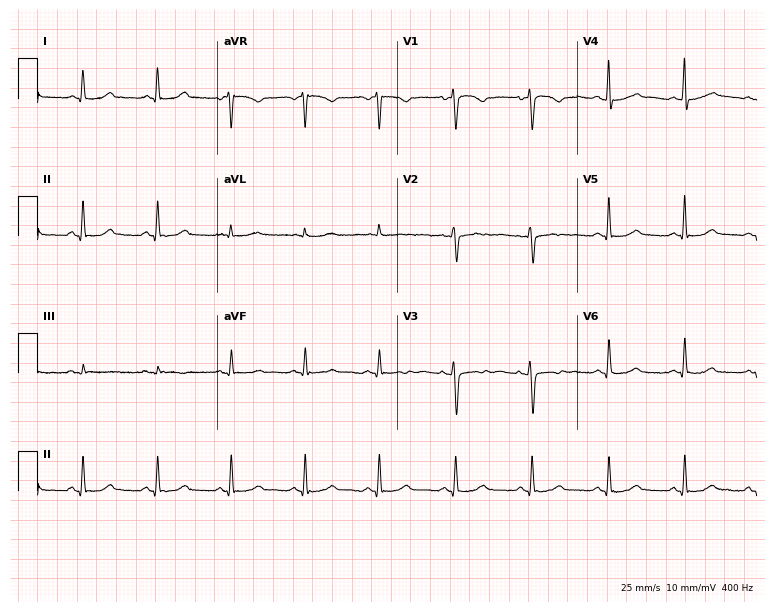
Resting 12-lead electrocardiogram (7.3-second recording at 400 Hz). Patient: a 50-year-old female. Read as a normal ECG.